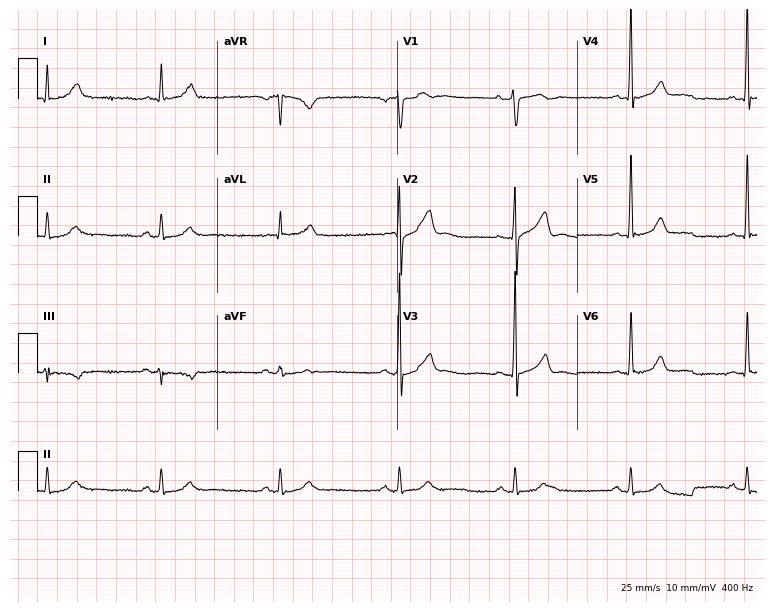
Standard 12-lead ECG recorded from a 55-year-old male patient (7.3-second recording at 400 Hz). None of these six findings is recorded: first-degree AV block, right bundle branch block, left bundle branch block, sinus bradycardia, atrial fibrillation, sinus tachycardia. Findings outside these six are not listed.